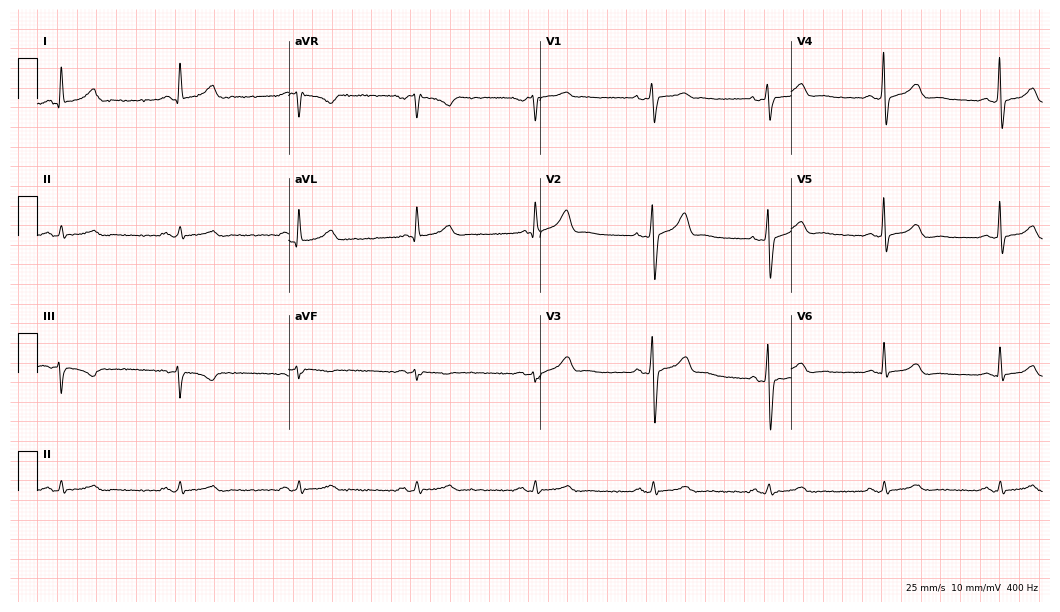
Standard 12-lead ECG recorded from a male, 68 years old (10.2-second recording at 400 Hz). The tracing shows sinus bradycardia (a sinus rate of 50 beats per minute or less).